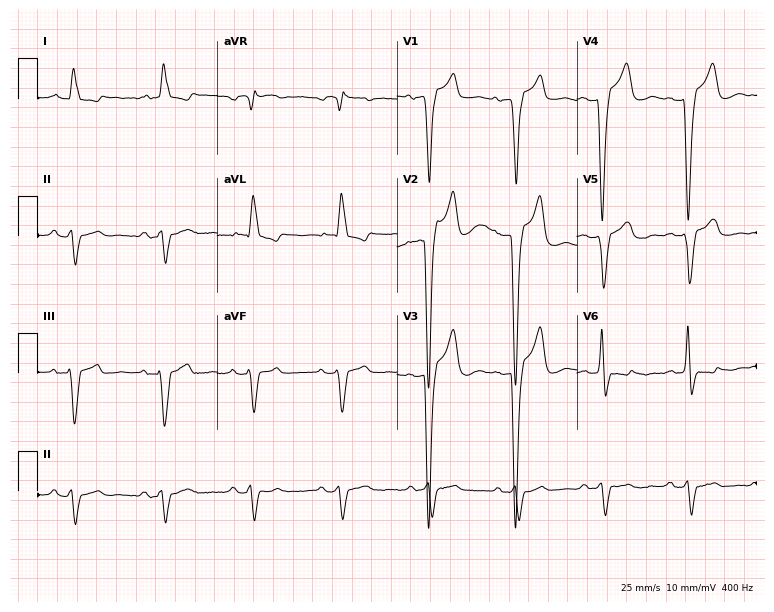
Resting 12-lead electrocardiogram (7.3-second recording at 400 Hz). Patient: a 76-year-old man. The tracing shows left bundle branch block (LBBB).